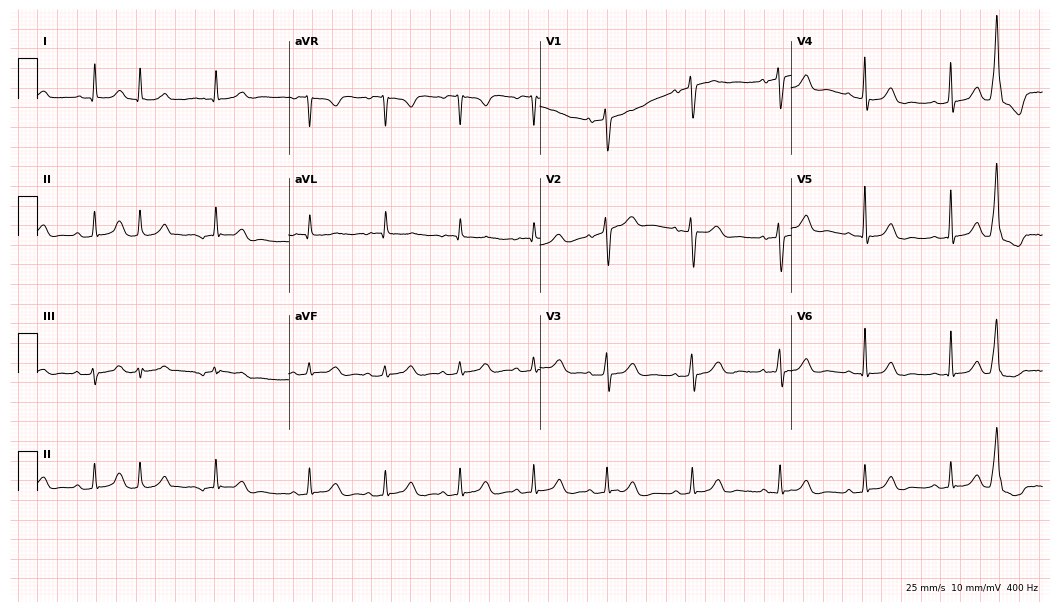
12-lead ECG (10.2-second recording at 400 Hz) from a female patient, 82 years old. Screened for six findings — first-degree AV block, right bundle branch block, left bundle branch block, sinus bradycardia, atrial fibrillation, sinus tachycardia — none is recorded.